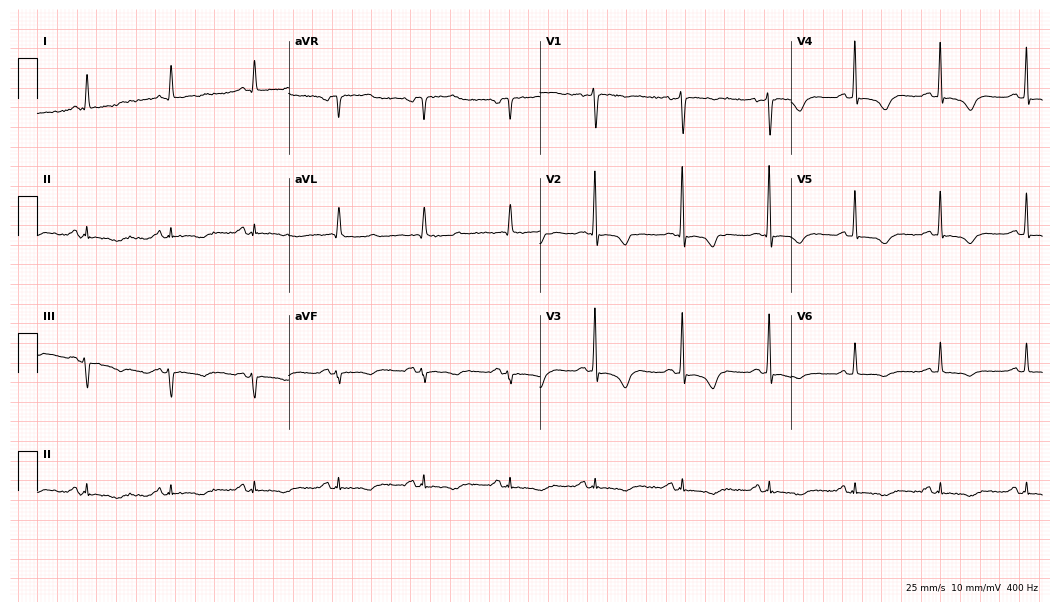
Standard 12-lead ECG recorded from a woman, 72 years old. None of these six findings is recorded: first-degree AV block, right bundle branch block (RBBB), left bundle branch block (LBBB), sinus bradycardia, atrial fibrillation (AF), sinus tachycardia.